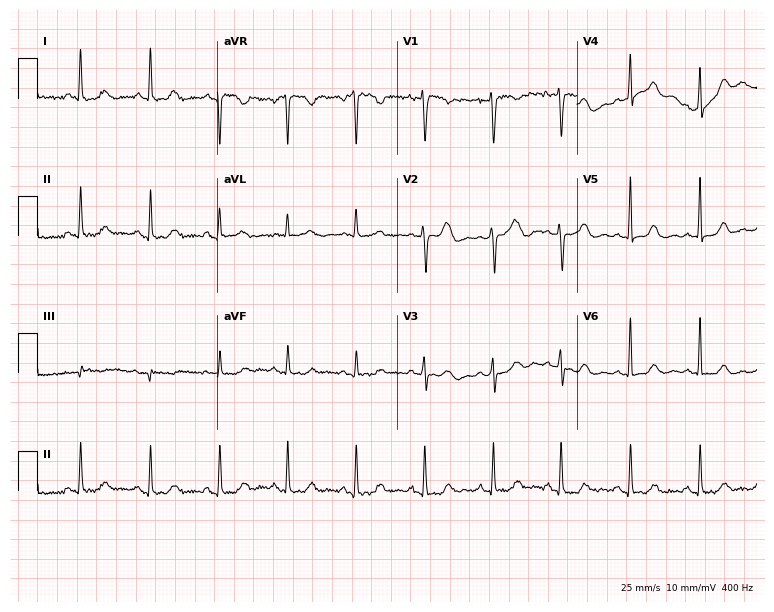
12-lead ECG (7.3-second recording at 400 Hz) from a woman, 68 years old. Labelled as a normal ECG.